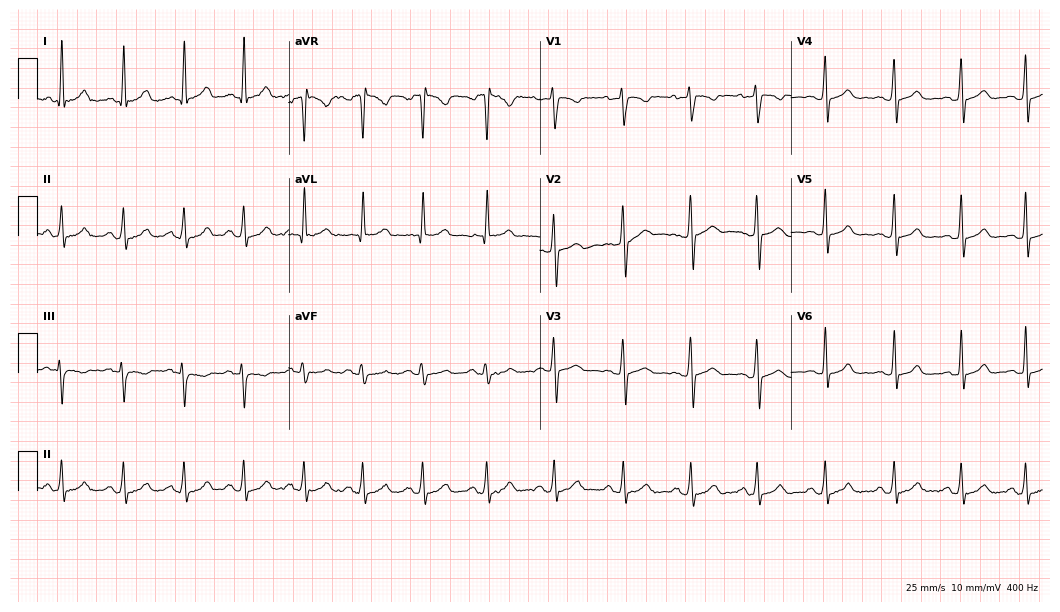
Standard 12-lead ECG recorded from a female patient, 19 years old (10.2-second recording at 400 Hz). None of these six findings is recorded: first-degree AV block, right bundle branch block (RBBB), left bundle branch block (LBBB), sinus bradycardia, atrial fibrillation (AF), sinus tachycardia.